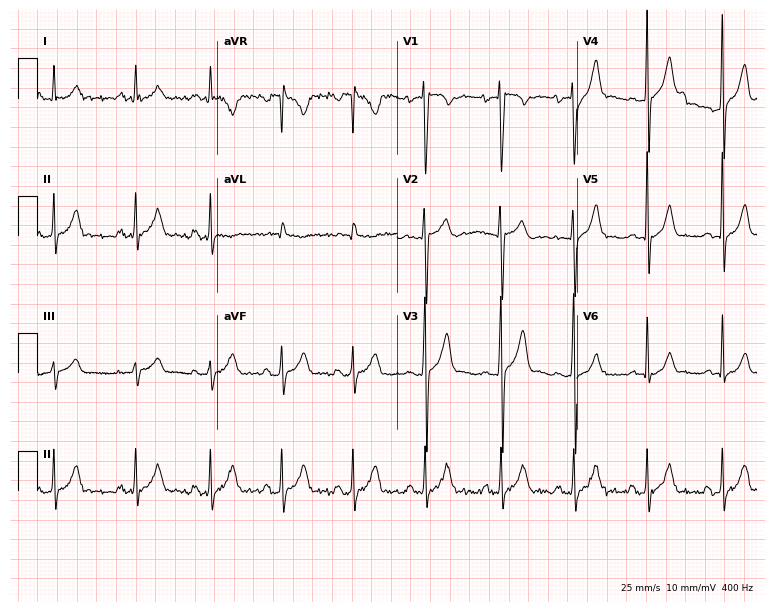
12-lead ECG from a male, 22 years old. Labelled as a normal ECG.